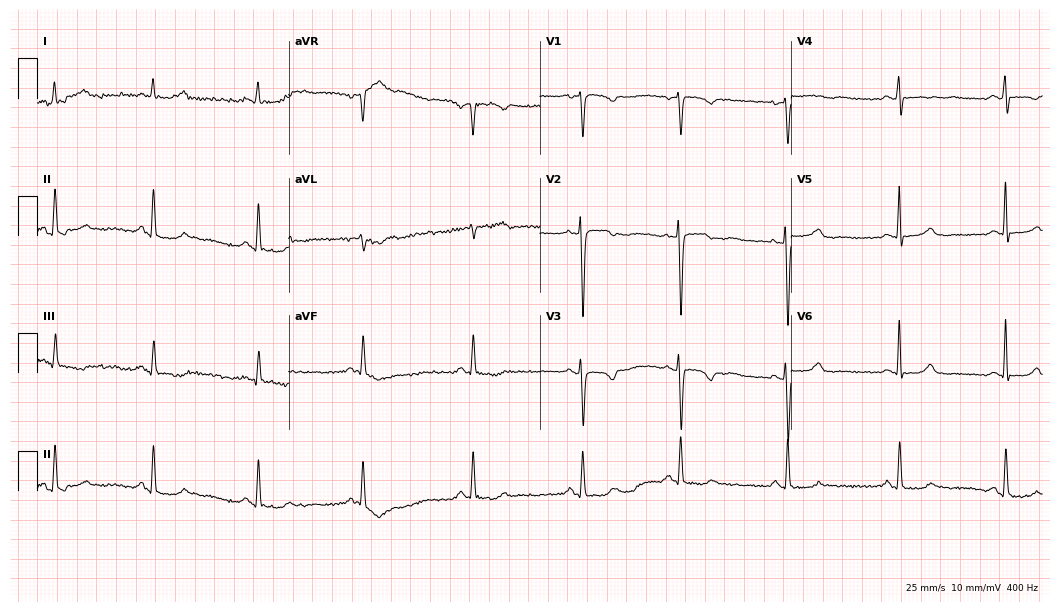
Standard 12-lead ECG recorded from a female patient, 43 years old. None of these six findings is recorded: first-degree AV block, right bundle branch block (RBBB), left bundle branch block (LBBB), sinus bradycardia, atrial fibrillation (AF), sinus tachycardia.